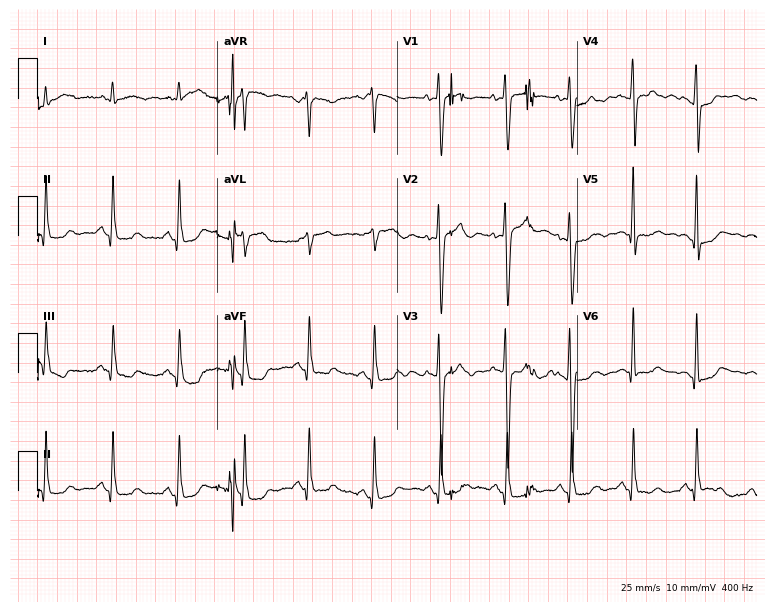
Resting 12-lead electrocardiogram. Patient: a female, 45 years old. Read as a normal ECG.